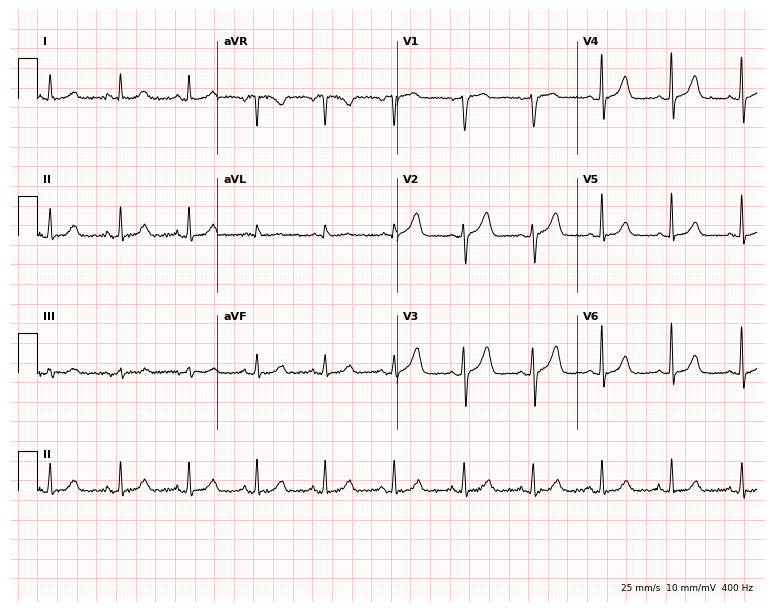
12-lead ECG (7.3-second recording at 400 Hz) from a female patient, 53 years old. Labelled as a normal ECG.